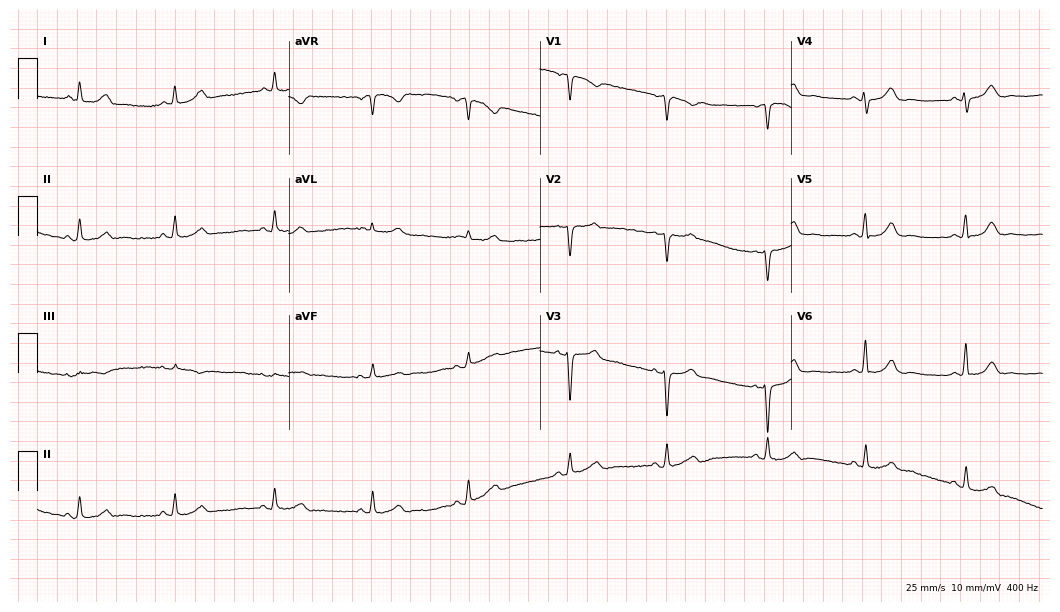
12-lead ECG from a 45-year-old woman. Recorded interpretation: within normal limits.